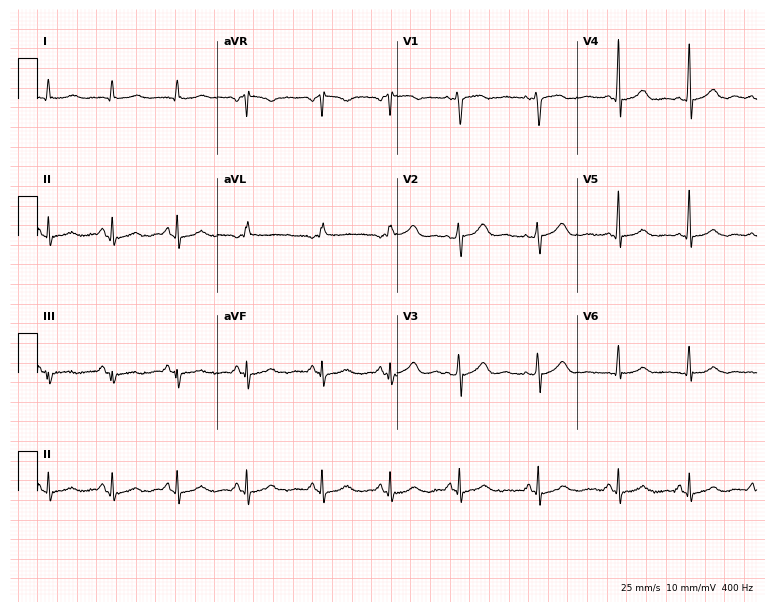
Standard 12-lead ECG recorded from a female patient, 53 years old. None of these six findings is recorded: first-degree AV block, right bundle branch block, left bundle branch block, sinus bradycardia, atrial fibrillation, sinus tachycardia.